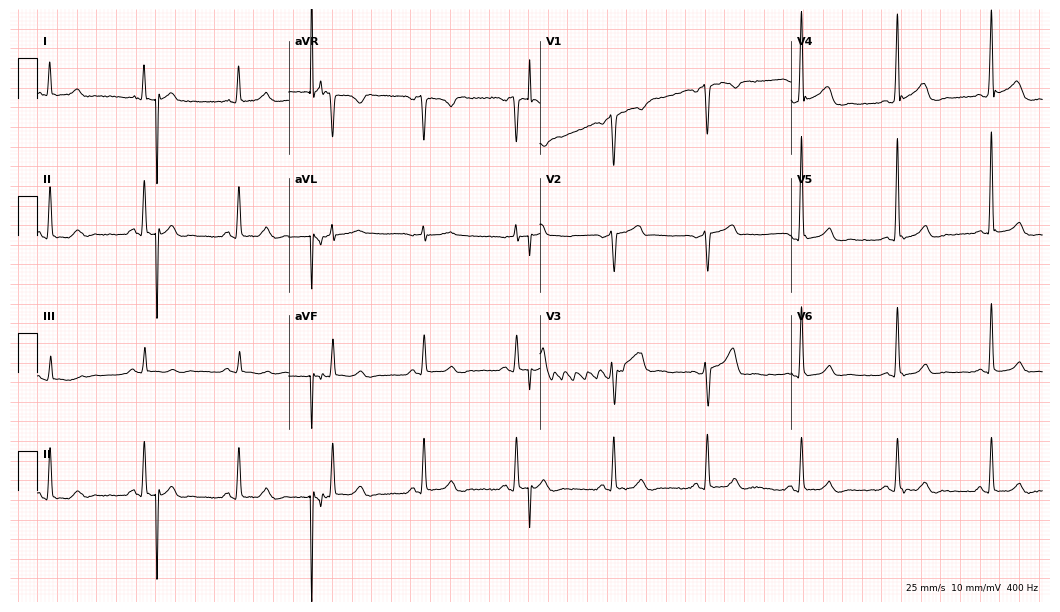
ECG (10.2-second recording at 400 Hz) — a male patient, 56 years old. Labelled as a normal ECG.